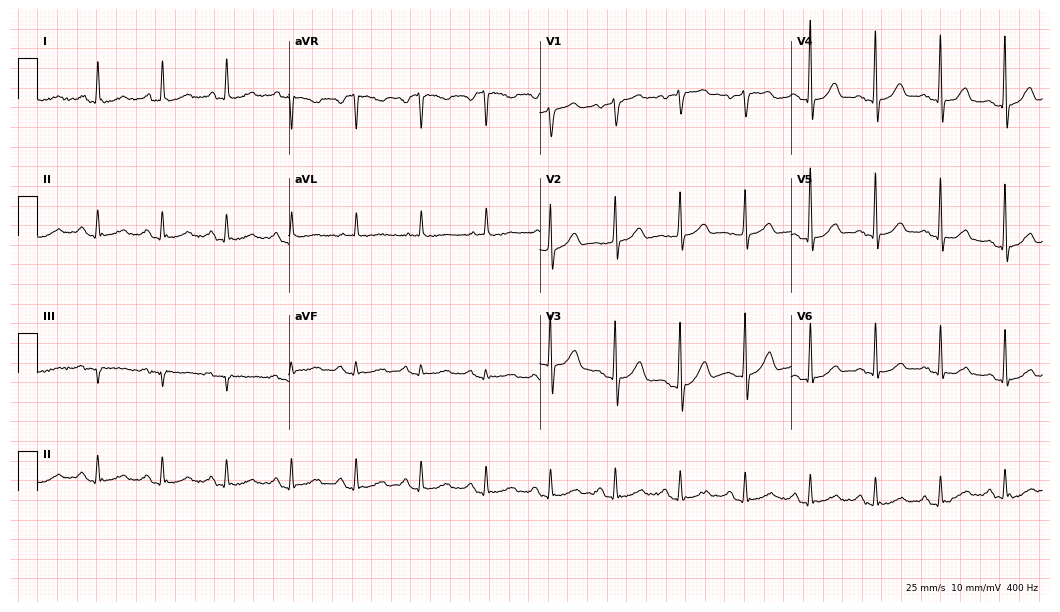
12-lead ECG from a woman, 66 years old. Screened for six findings — first-degree AV block, right bundle branch block, left bundle branch block, sinus bradycardia, atrial fibrillation, sinus tachycardia — none is recorded.